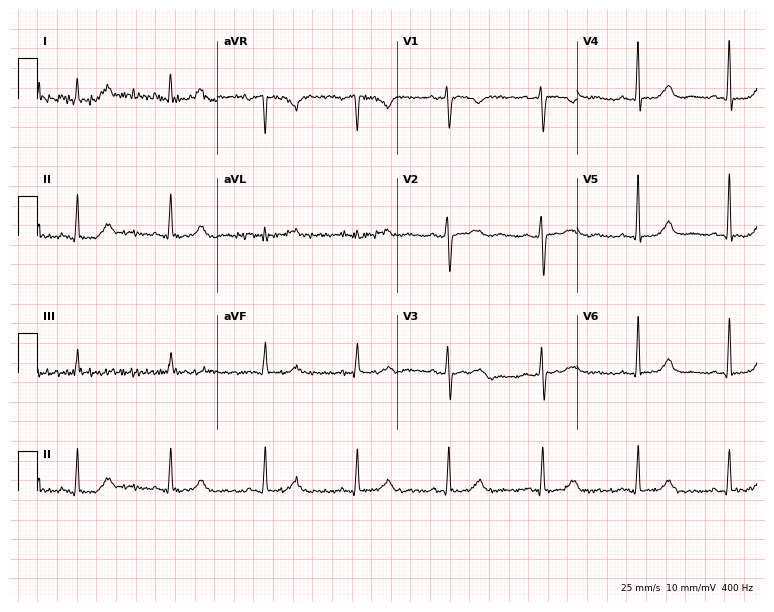
12-lead ECG from a woman, 40 years old. Recorded interpretation: within normal limits.